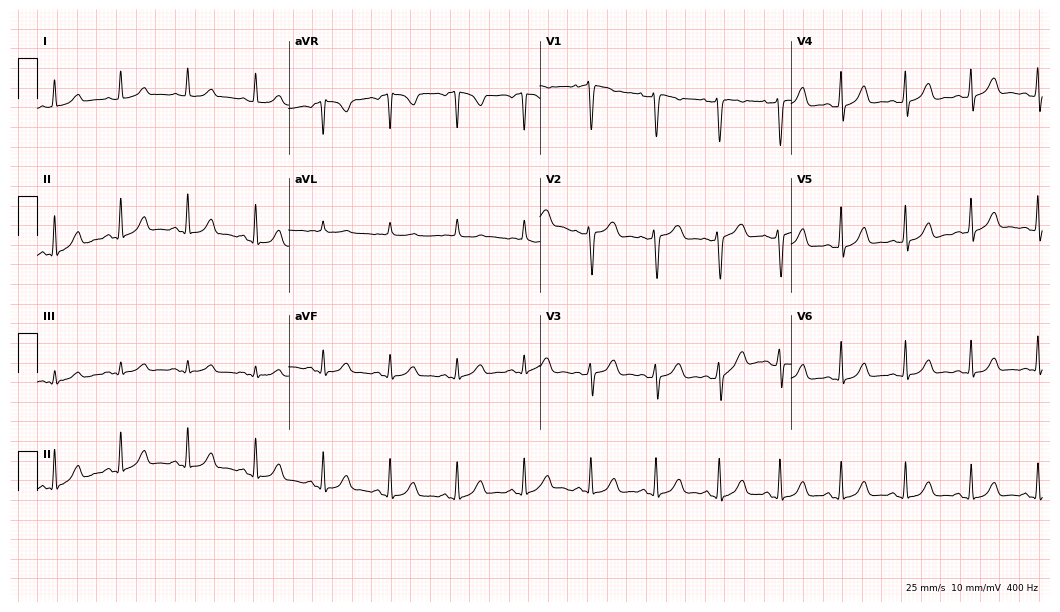
12-lead ECG from a female patient, 36 years old. Recorded interpretation: within normal limits.